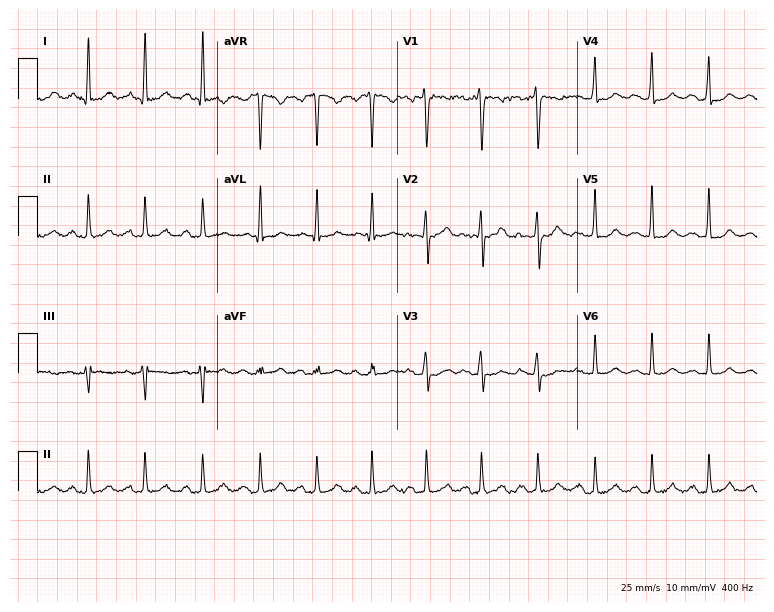
ECG — a 36-year-old female. Findings include sinus tachycardia (a sinus rate of 100 beats per minute or more).